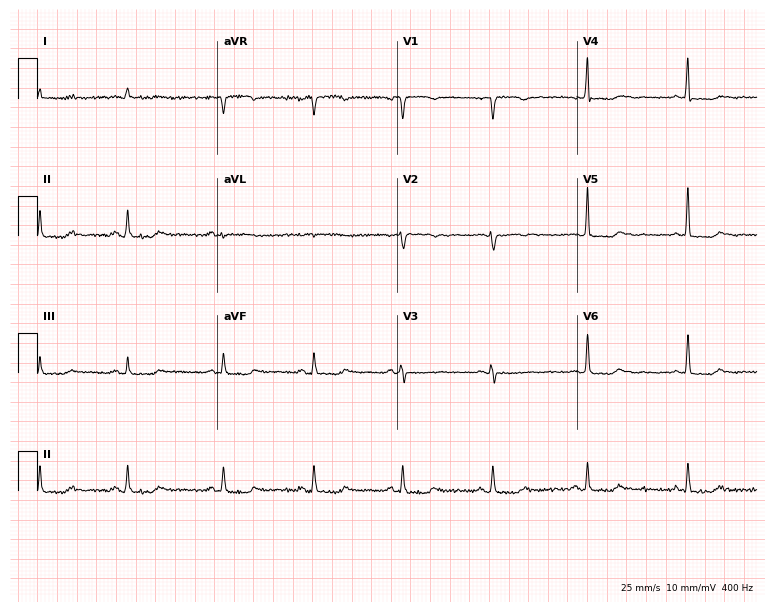
12-lead ECG from a female patient, 71 years old (7.3-second recording at 400 Hz). Recorded interpretation: within normal limits.